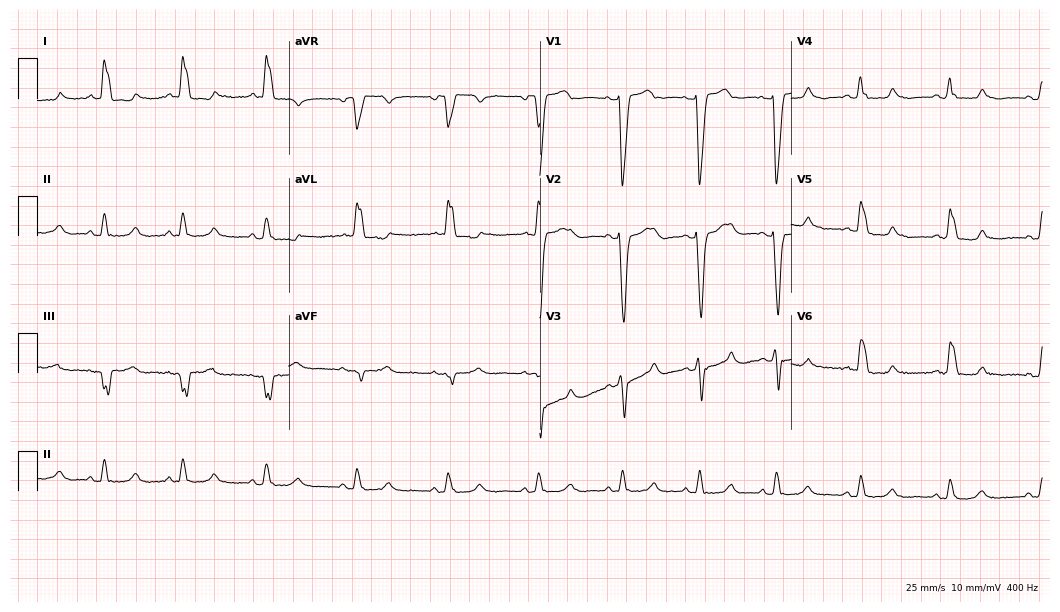
12-lead ECG from a woman, 50 years old. Findings include left bundle branch block.